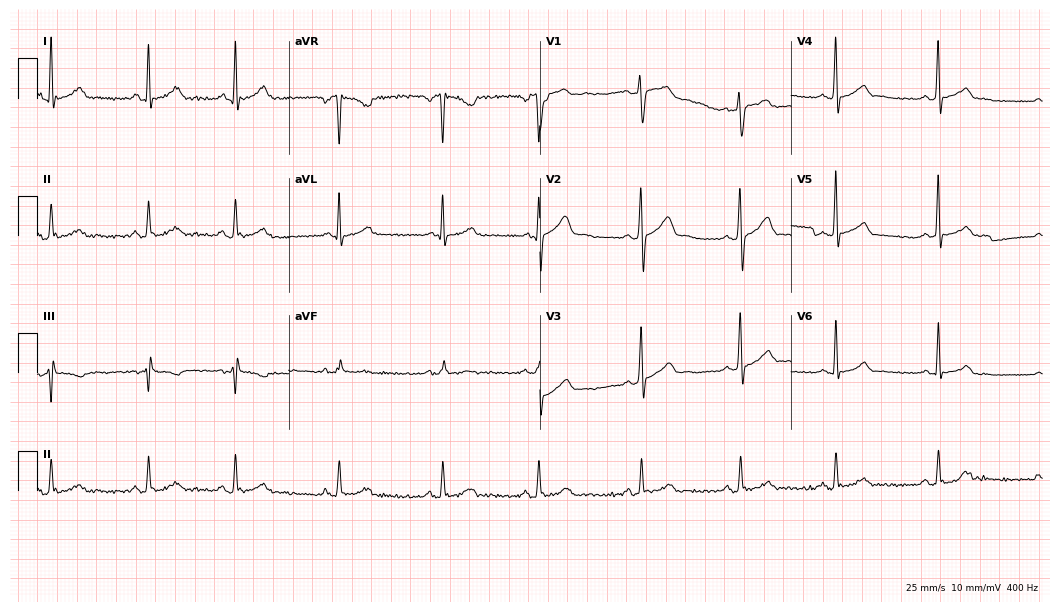
12-lead ECG from a 41-year-old man. Labelled as a normal ECG.